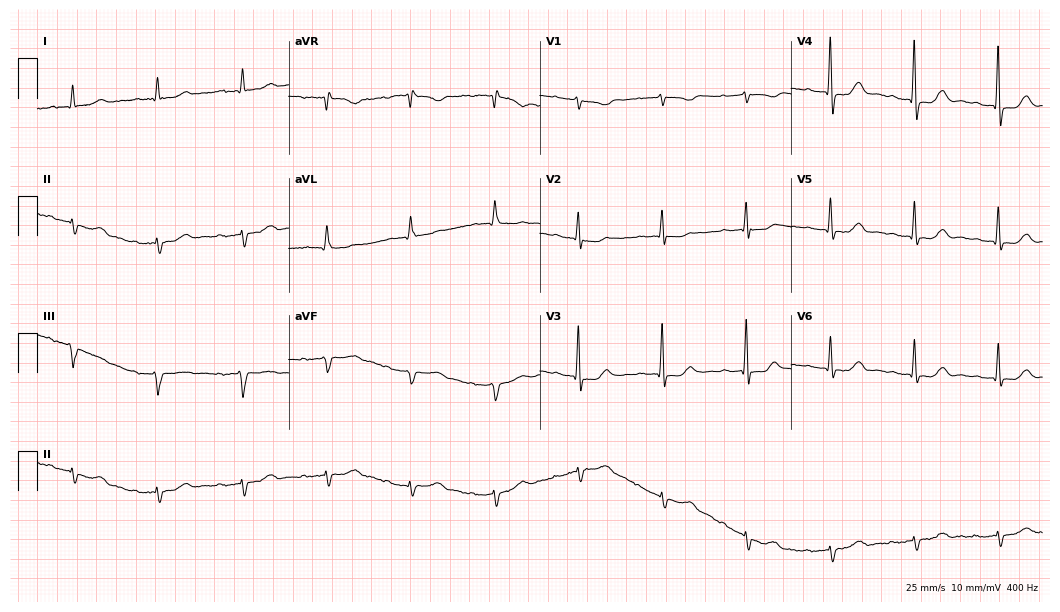
Electrocardiogram (10.2-second recording at 400 Hz), a female patient, 83 years old. Of the six screened findings (first-degree AV block, right bundle branch block, left bundle branch block, sinus bradycardia, atrial fibrillation, sinus tachycardia), none is recorded.